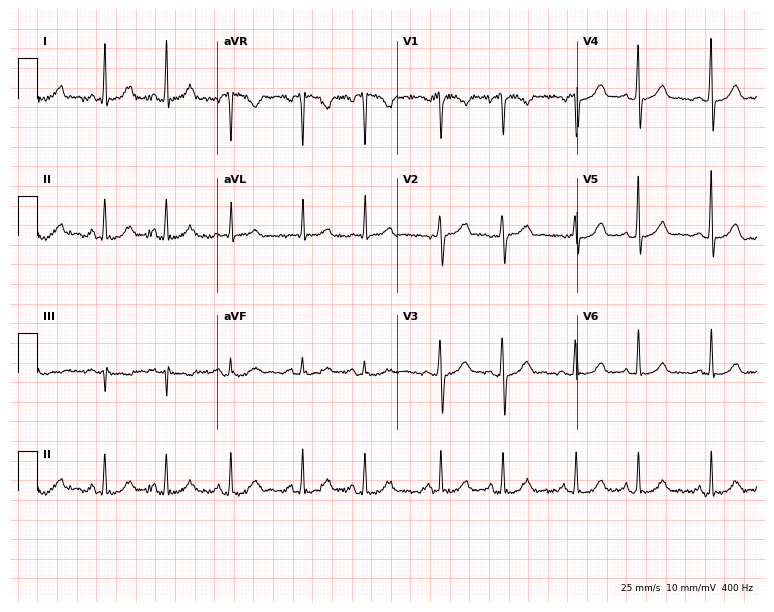
12-lead ECG from a 45-year-old woman. Recorded interpretation: within normal limits.